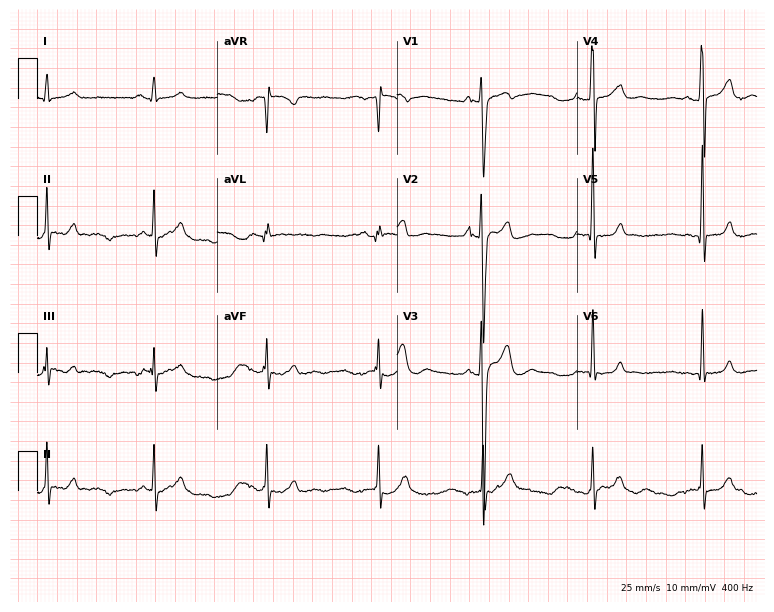
12-lead ECG (7.3-second recording at 400 Hz) from a man, 35 years old. Screened for six findings — first-degree AV block, right bundle branch block, left bundle branch block, sinus bradycardia, atrial fibrillation, sinus tachycardia — none is recorded.